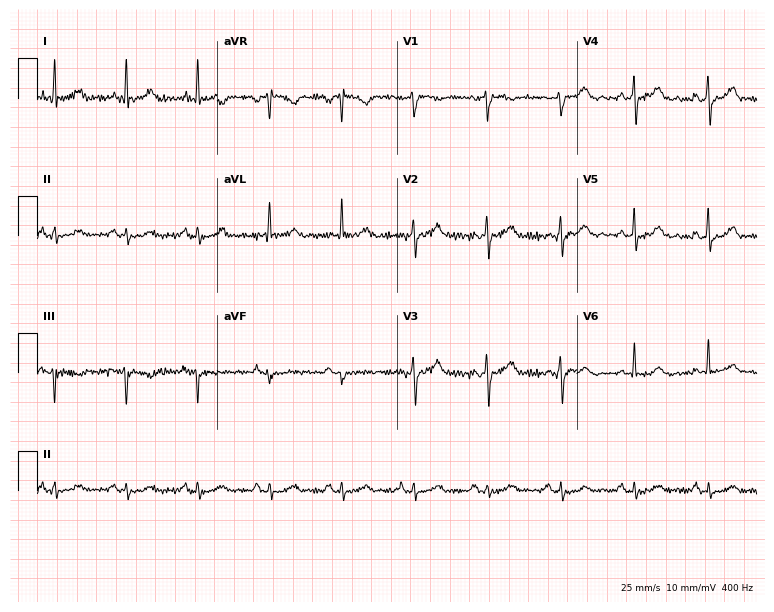
Resting 12-lead electrocardiogram (7.3-second recording at 400 Hz). Patient: an 84-year-old female. Read as a normal ECG.